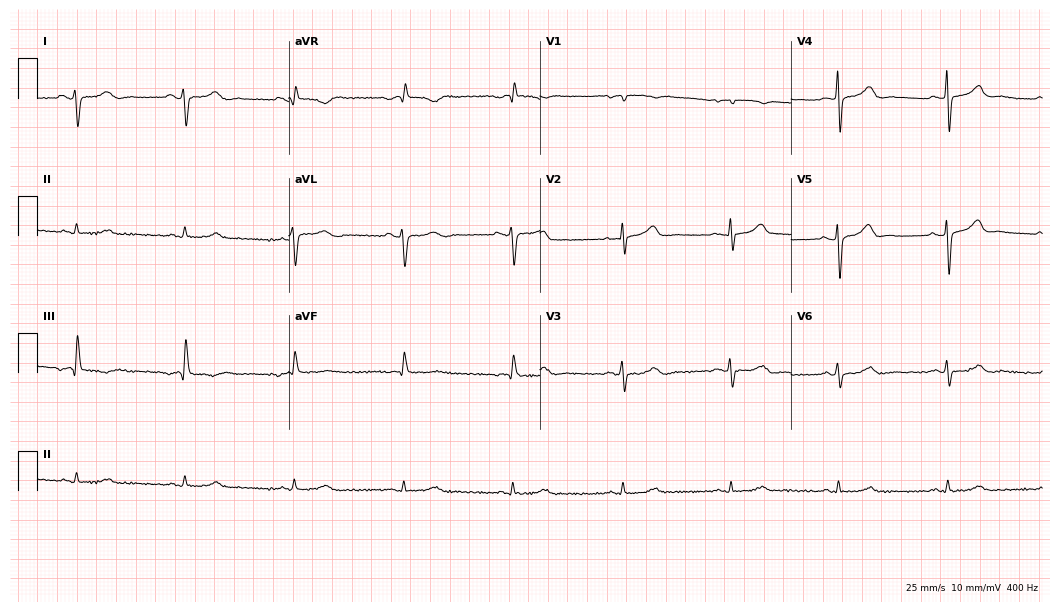
Standard 12-lead ECG recorded from an 85-year-old man. None of these six findings is recorded: first-degree AV block, right bundle branch block, left bundle branch block, sinus bradycardia, atrial fibrillation, sinus tachycardia.